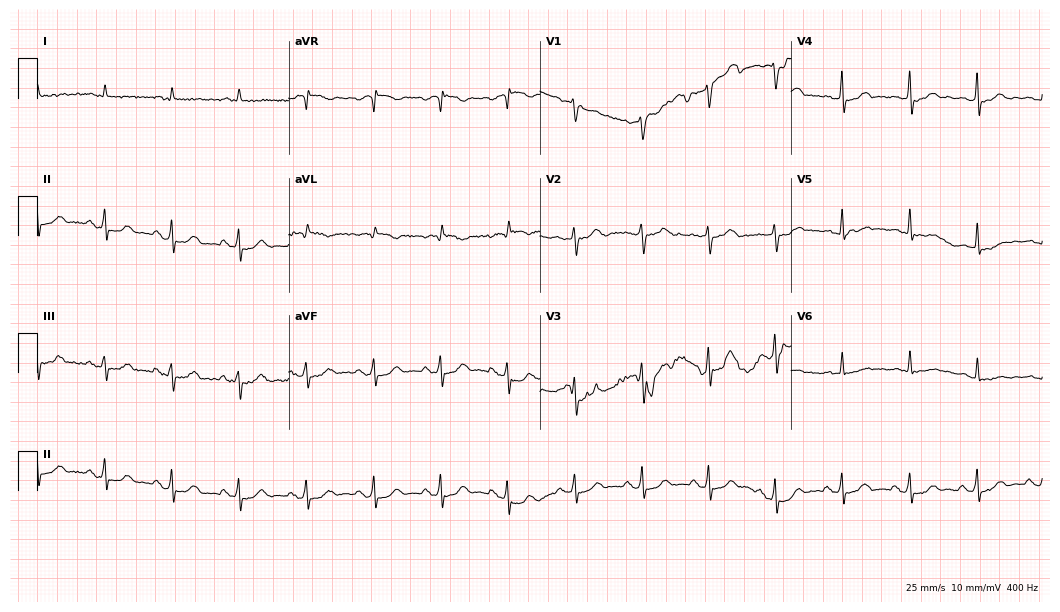
12-lead ECG from a male, 78 years old. No first-degree AV block, right bundle branch block, left bundle branch block, sinus bradycardia, atrial fibrillation or sinus tachycardia recorded for this tracing. Only these six findings were labelled.